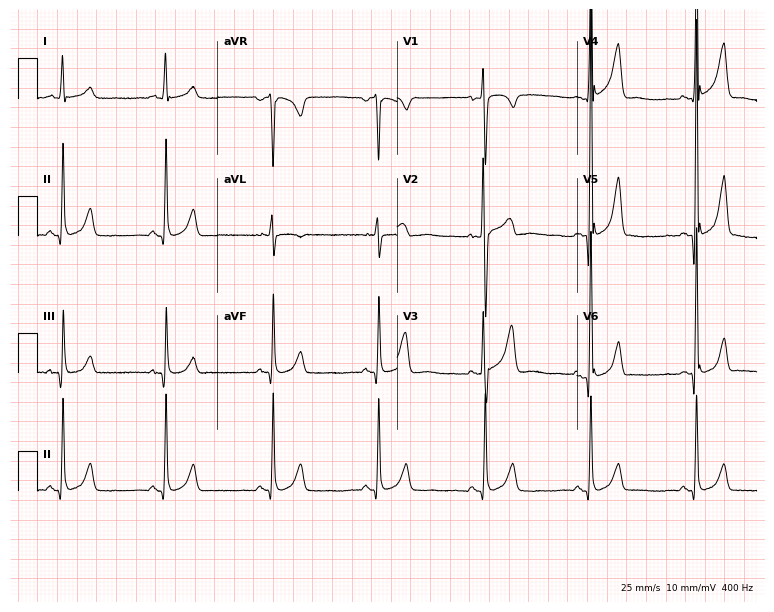
Standard 12-lead ECG recorded from a 34-year-old man (7.3-second recording at 400 Hz). None of these six findings is recorded: first-degree AV block, right bundle branch block, left bundle branch block, sinus bradycardia, atrial fibrillation, sinus tachycardia.